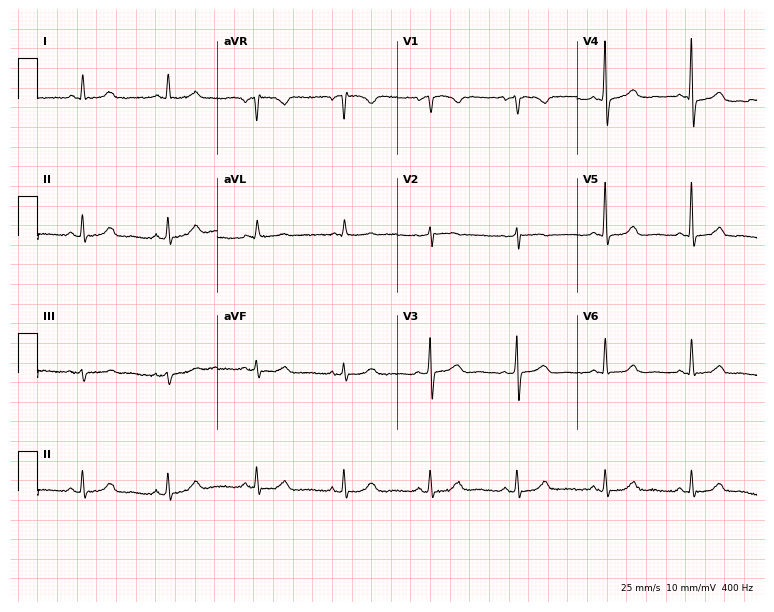
Resting 12-lead electrocardiogram (7.3-second recording at 400 Hz). Patient: a 65-year-old female. Read as a normal ECG.